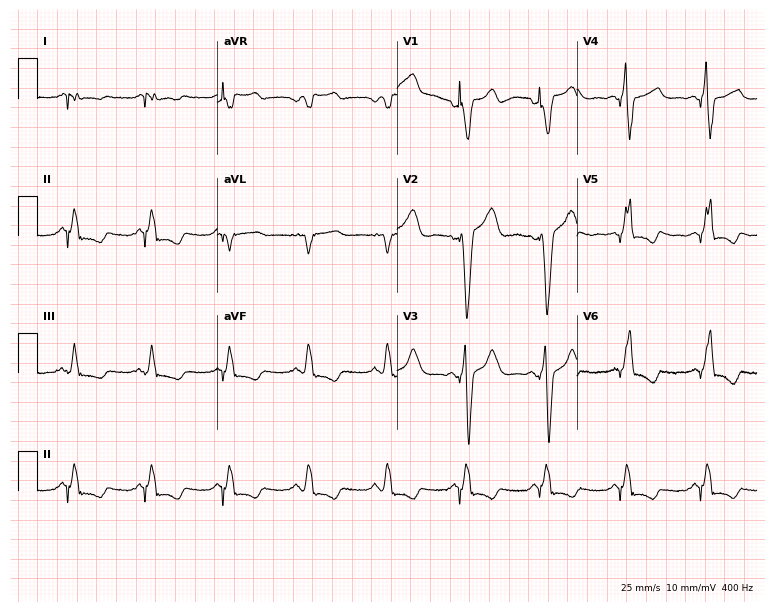
ECG — a 44-year-old male. Screened for six findings — first-degree AV block, right bundle branch block, left bundle branch block, sinus bradycardia, atrial fibrillation, sinus tachycardia — none is recorded. Only these six findings were labelled.